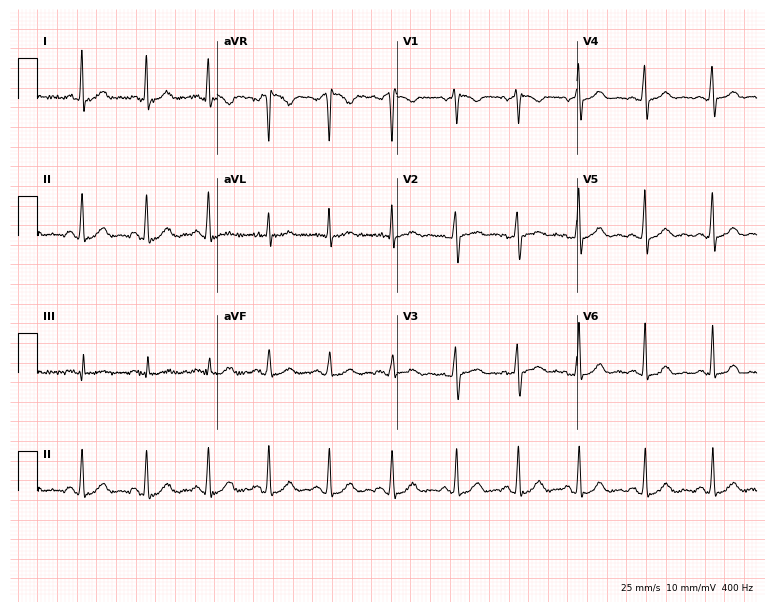
Resting 12-lead electrocardiogram (7.3-second recording at 400 Hz). Patient: a woman, 38 years old. Read as a normal ECG.